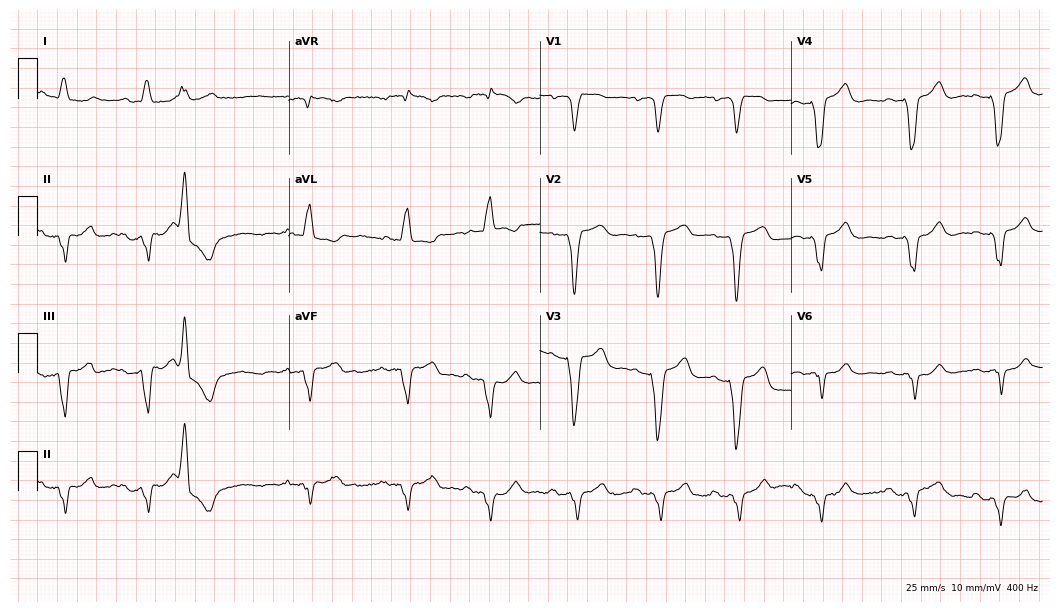
12-lead ECG from a 66-year-old female. Screened for six findings — first-degree AV block, right bundle branch block (RBBB), left bundle branch block (LBBB), sinus bradycardia, atrial fibrillation (AF), sinus tachycardia — none is recorded.